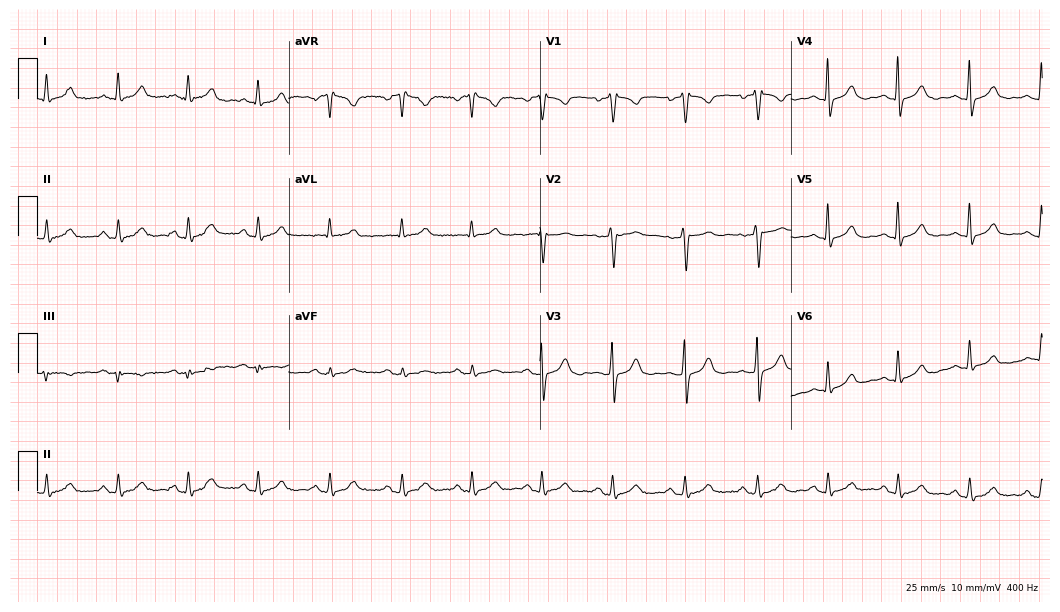
Resting 12-lead electrocardiogram. Patient: a 46-year-old female. Read as a normal ECG.